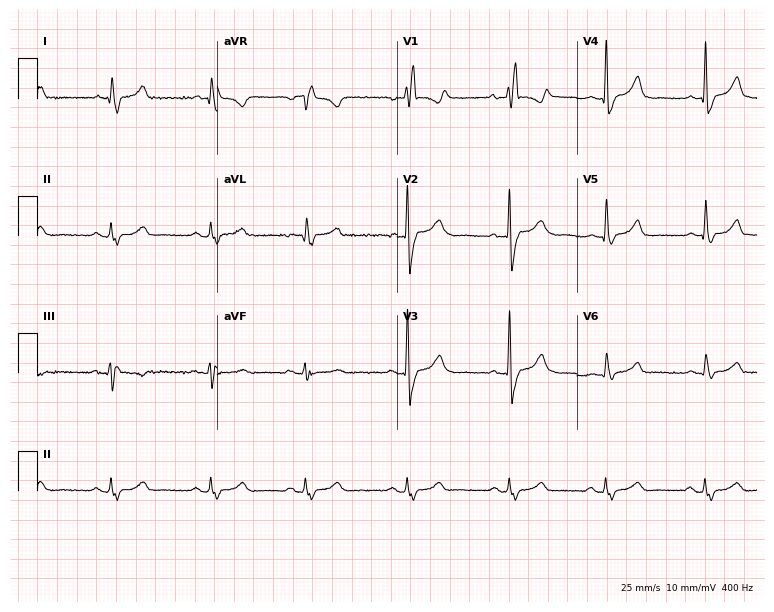
12-lead ECG from a male, 64 years old. Findings include right bundle branch block.